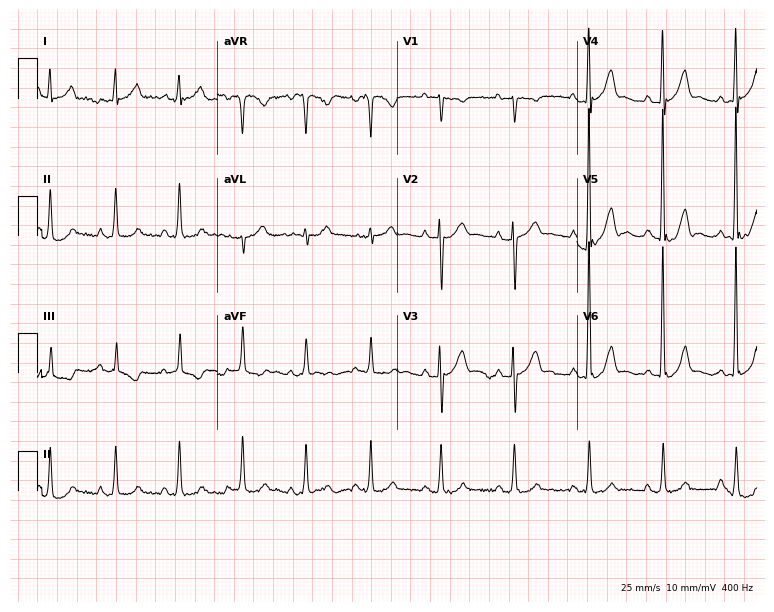
12-lead ECG from a man, 63 years old (7.3-second recording at 400 Hz). Recorded interpretation: within normal limits.